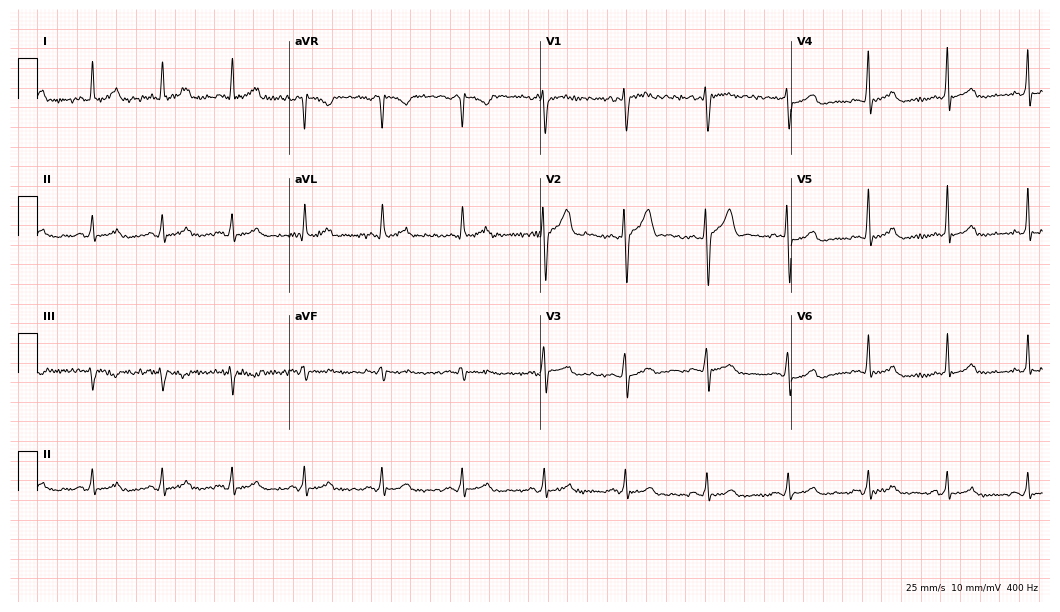
12-lead ECG from a 45-year-old male patient. Recorded interpretation: within normal limits.